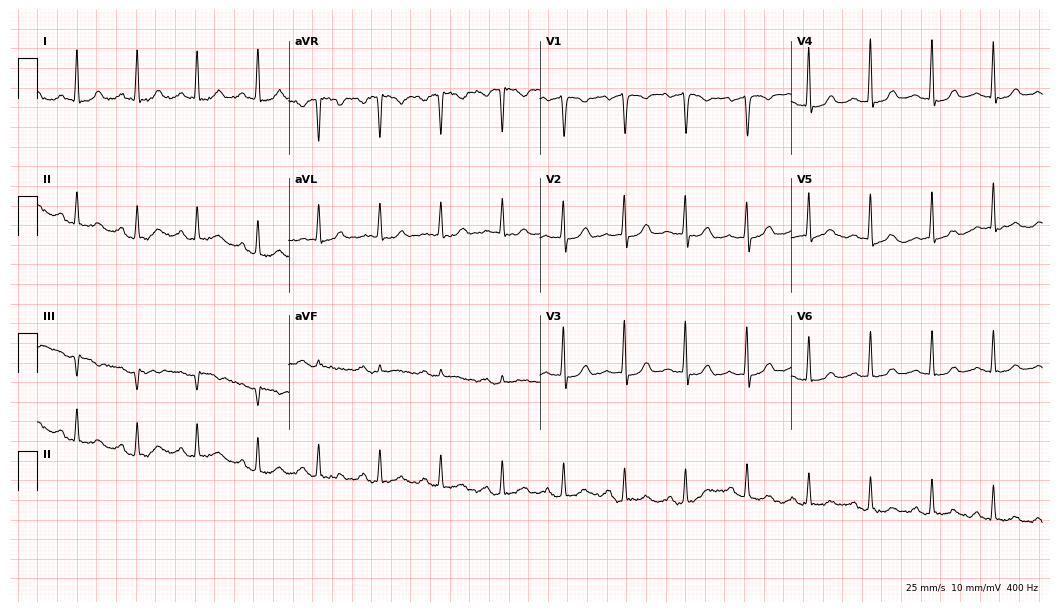
ECG (10.2-second recording at 400 Hz) — a female, 72 years old. Screened for six findings — first-degree AV block, right bundle branch block (RBBB), left bundle branch block (LBBB), sinus bradycardia, atrial fibrillation (AF), sinus tachycardia — none is recorded. Only these six findings were labelled.